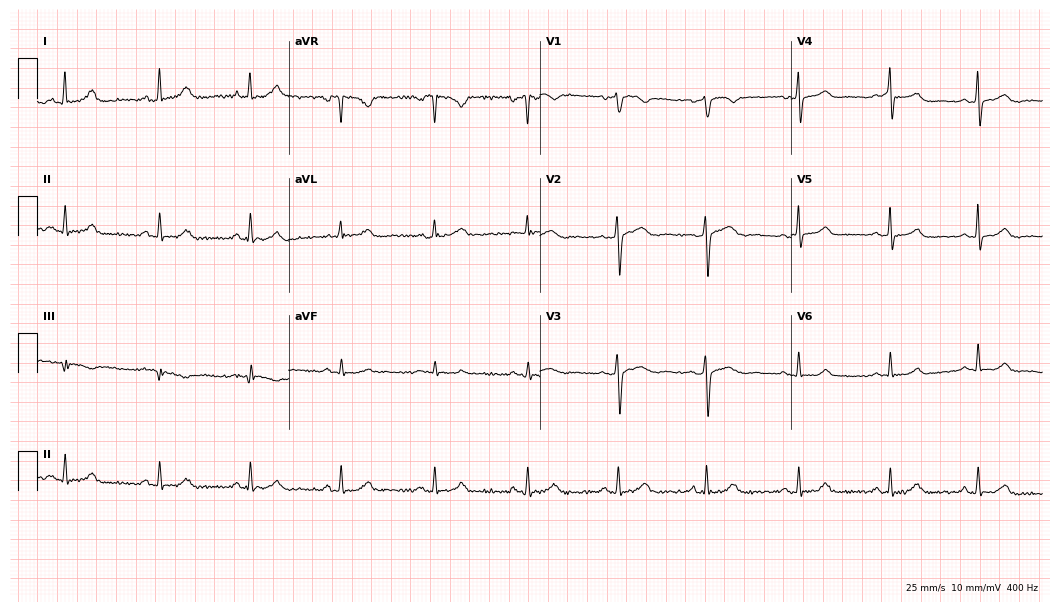
ECG (10.2-second recording at 400 Hz) — a female, 47 years old. Labelled as a normal ECG.